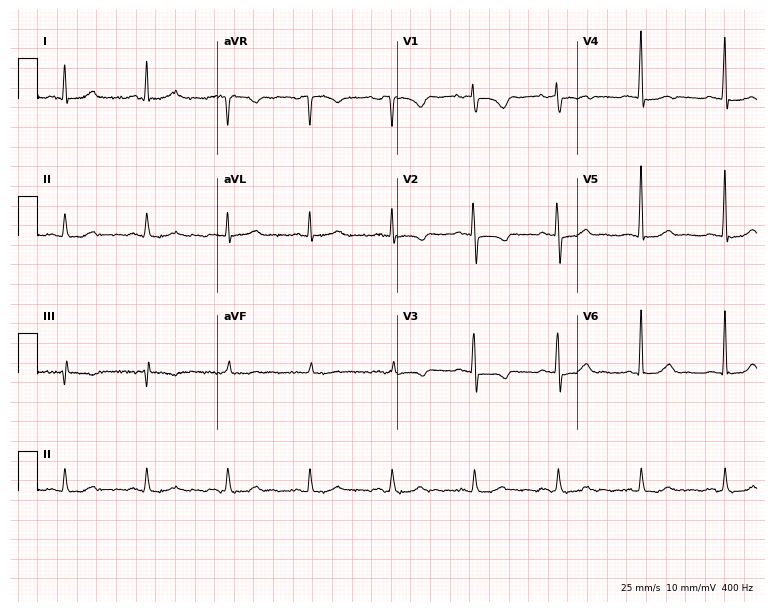
Standard 12-lead ECG recorded from a 52-year-old female (7.3-second recording at 400 Hz). None of these six findings is recorded: first-degree AV block, right bundle branch block (RBBB), left bundle branch block (LBBB), sinus bradycardia, atrial fibrillation (AF), sinus tachycardia.